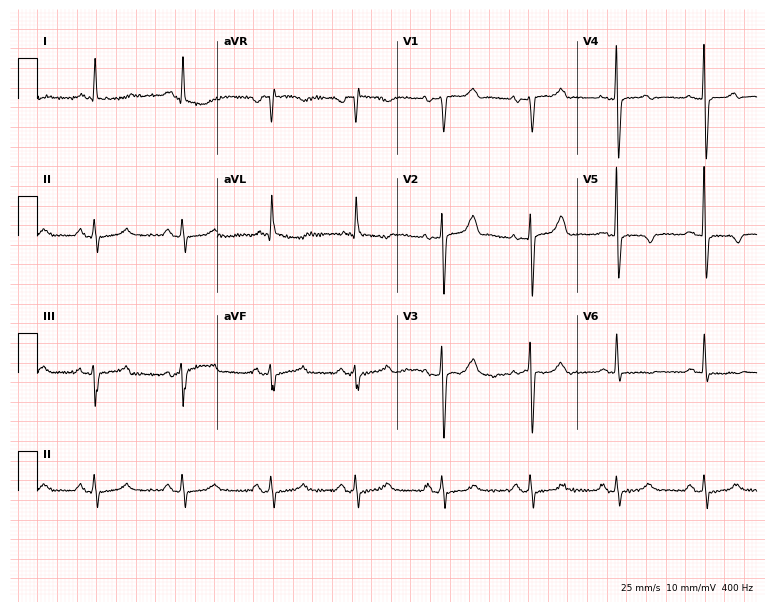
Electrocardiogram, a 77-year-old female. Of the six screened findings (first-degree AV block, right bundle branch block, left bundle branch block, sinus bradycardia, atrial fibrillation, sinus tachycardia), none is recorded. Other findings, if any, are not listed.